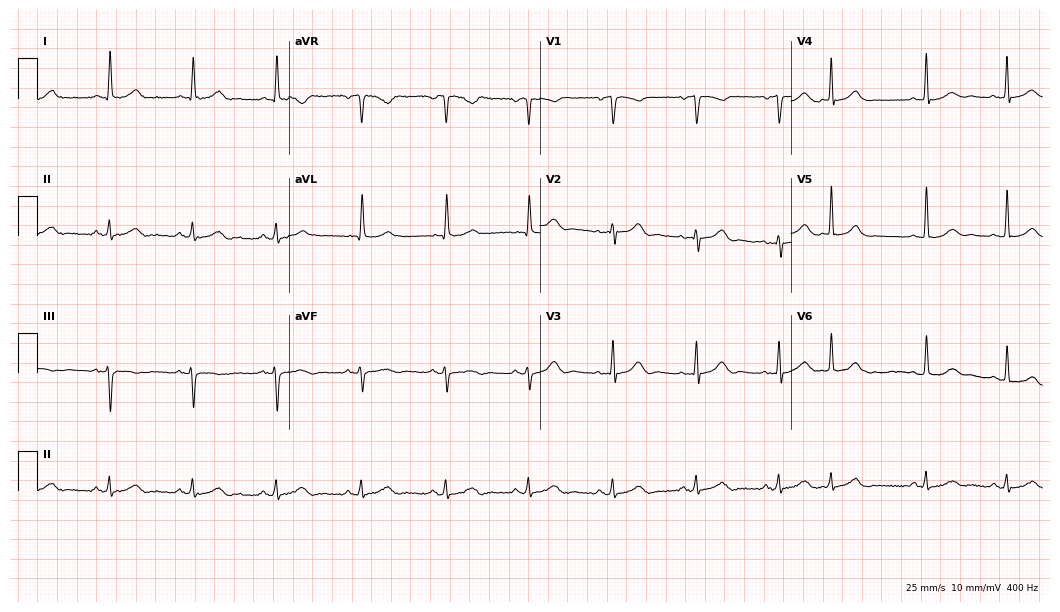
Resting 12-lead electrocardiogram. Patient: an 85-year-old female. Read as a normal ECG.